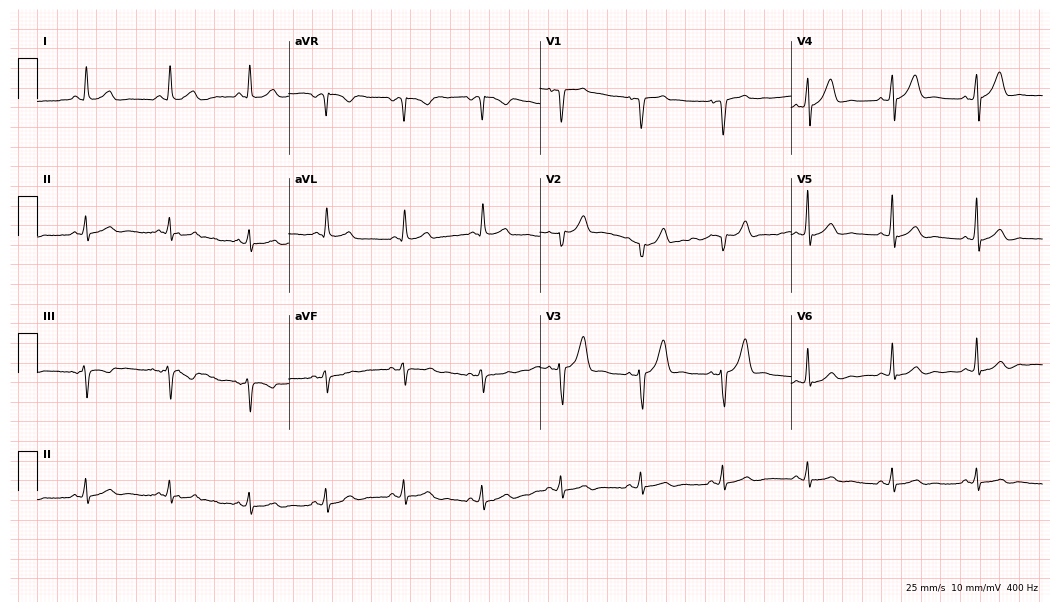
Standard 12-lead ECG recorded from a 50-year-old male patient (10.2-second recording at 400 Hz). Read as a normal ECG.